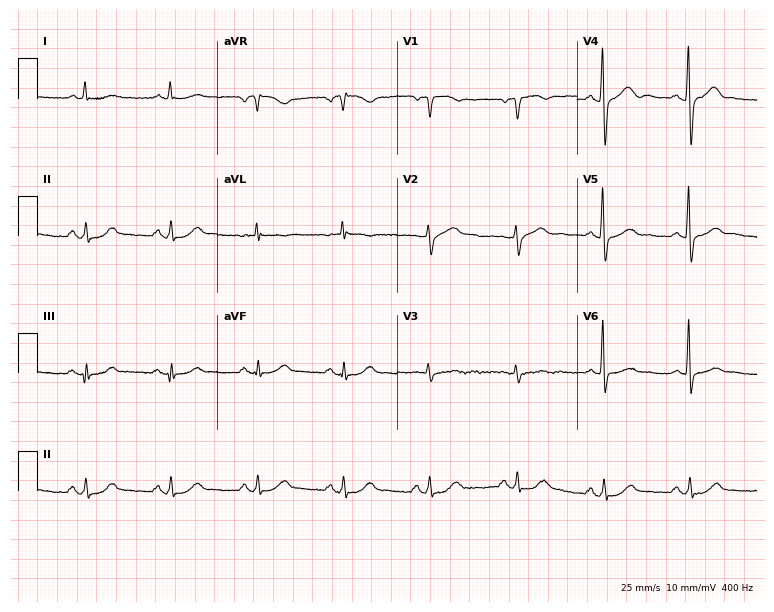
ECG (7.3-second recording at 400 Hz) — a male, 63 years old. Labelled as a normal ECG.